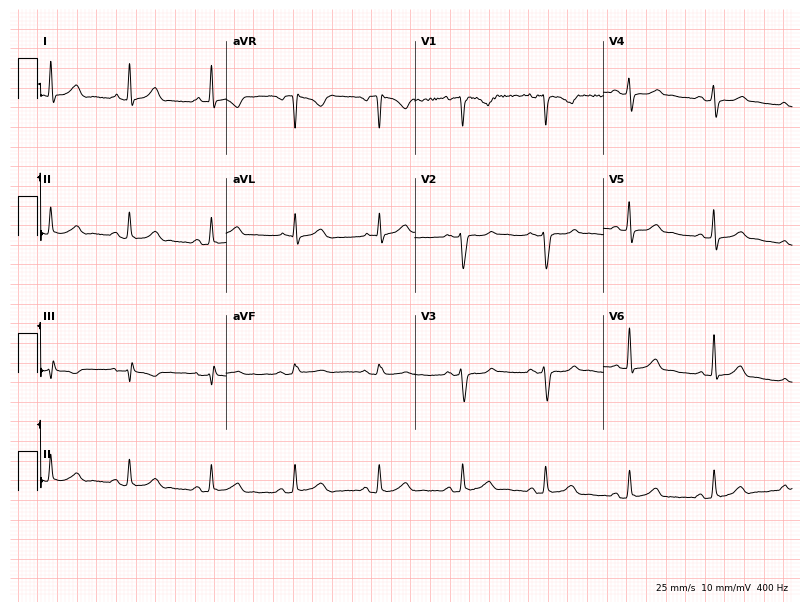
Resting 12-lead electrocardiogram (7.7-second recording at 400 Hz). Patient: a 43-year-old male. Read as a normal ECG.